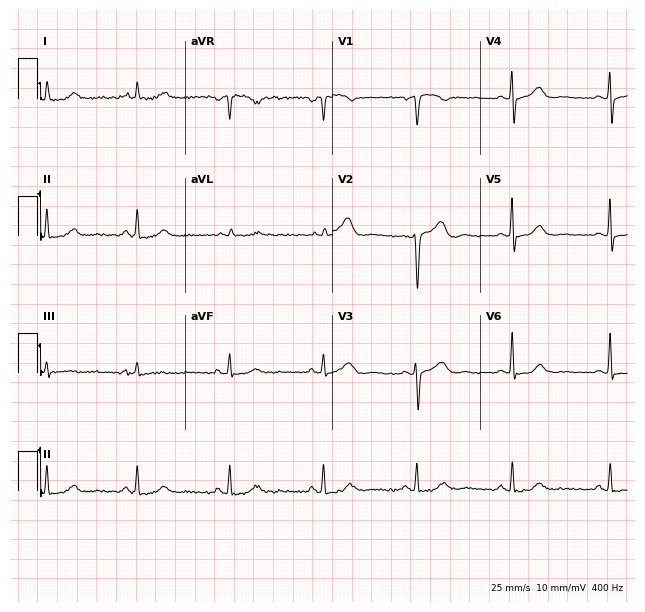
Electrocardiogram, a 54-year-old female patient. Of the six screened findings (first-degree AV block, right bundle branch block, left bundle branch block, sinus bradycardia, atrial fibrillation, sinus tachycardia), none is recorded. Only these six findings were labelled.